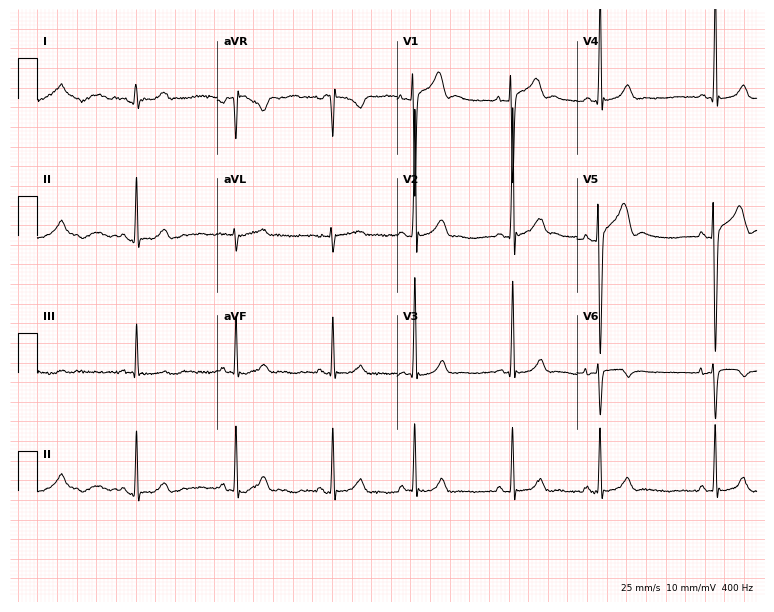
Resting 12-lead electrocardiogram (7.3-second recording at 400 Hz). Patient: a 17-year-old male. None of these six findings is recorded: first-degree AV block, right bundle branch block (RBBB), left bundle branch block (LBBB), sinus bradycardia, atrial fibrillation (AF), sinus tachycardia.